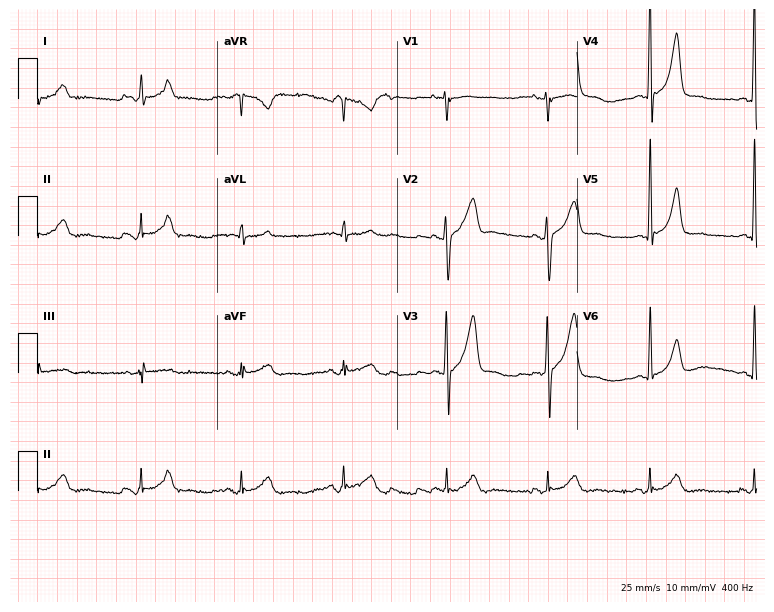
Standard 12-lead ECG recorded from a 30-year-old man (7.3-second recording at 400 Hz). Read as a normal ECG.